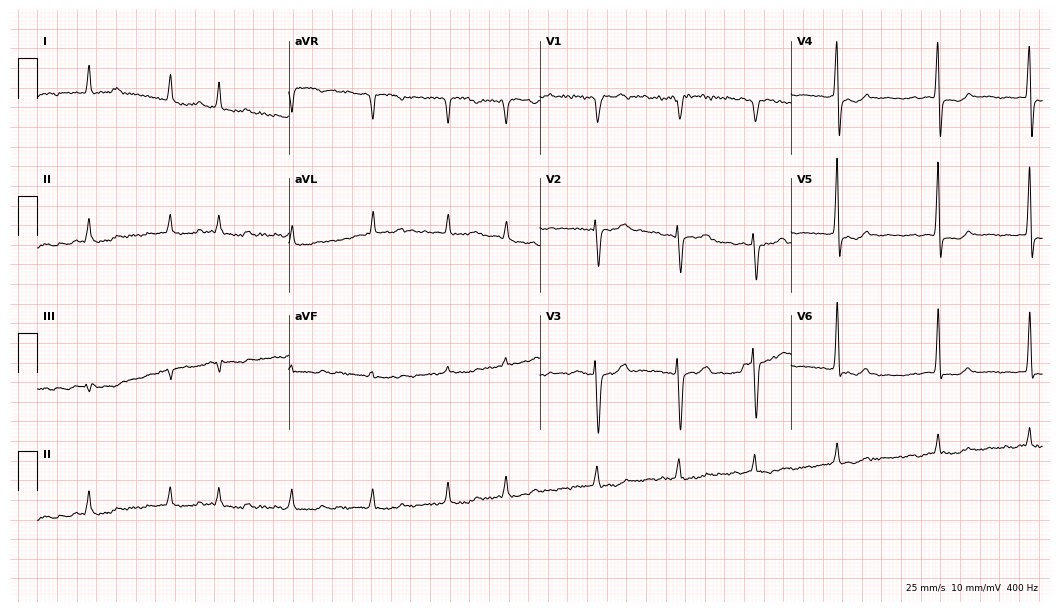
Electrocardiogram (10.2-second recording at 400 Hz), a man, 76 years old. Interpretation includes atrial fibrillation (AF).